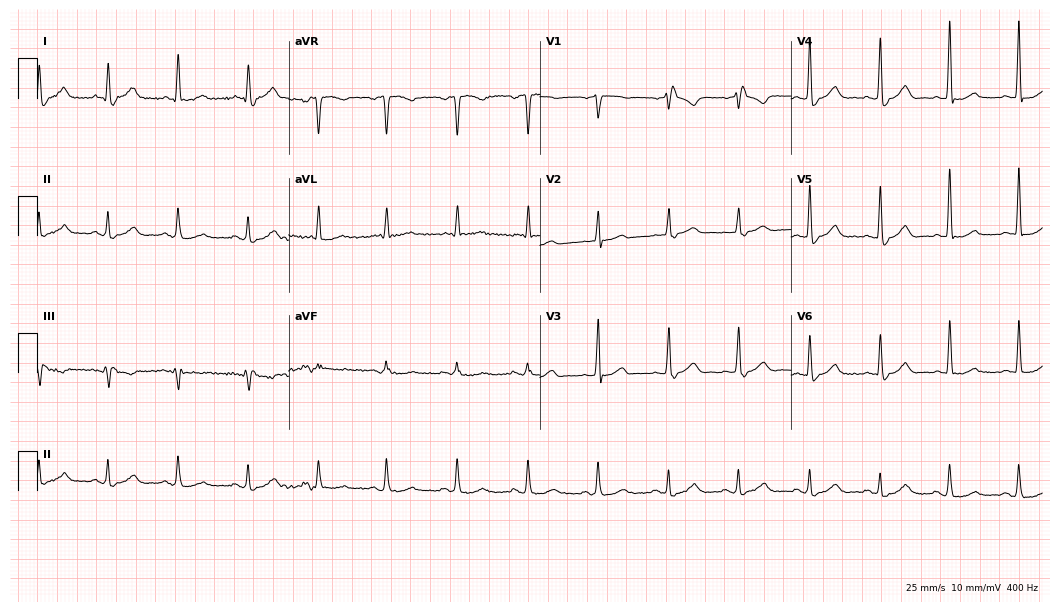
12-lead ECG from a male, 82 years old. No first-degree AV block, right bundle branch block (RBBB), left bundle branch block (LBBB), sinus bradycardia, atrial fibrillation (AF) or sinus tachycardia recorded for this tracing. Findings outside these six are not listed.